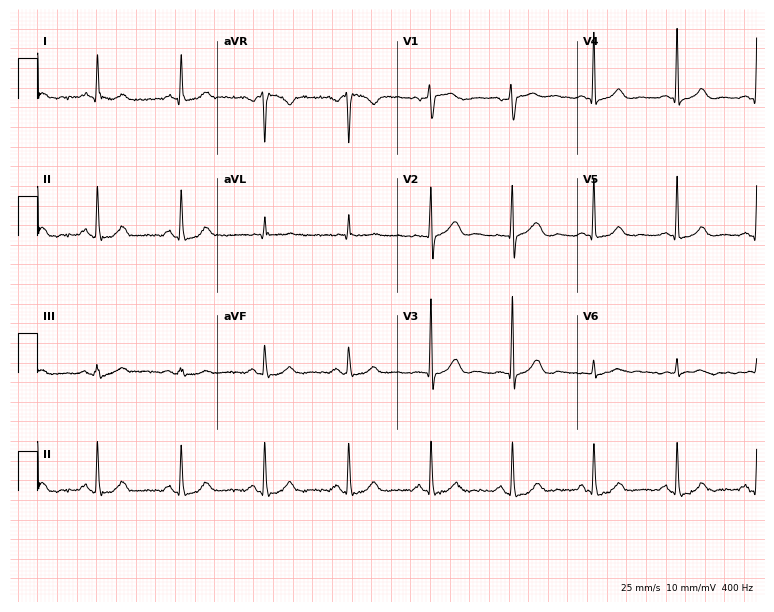
12-lead ECG from a woman, 48 years old. Labelled as a normal ECG.